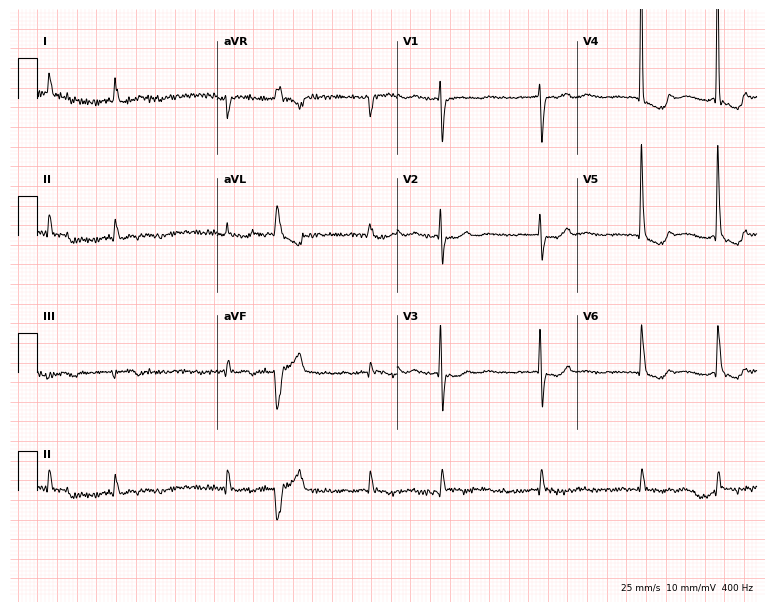
12-lead ECG from an 80-year-old female patient (7.3-second recording at 400 Hz). Shows atrial fibrillation.